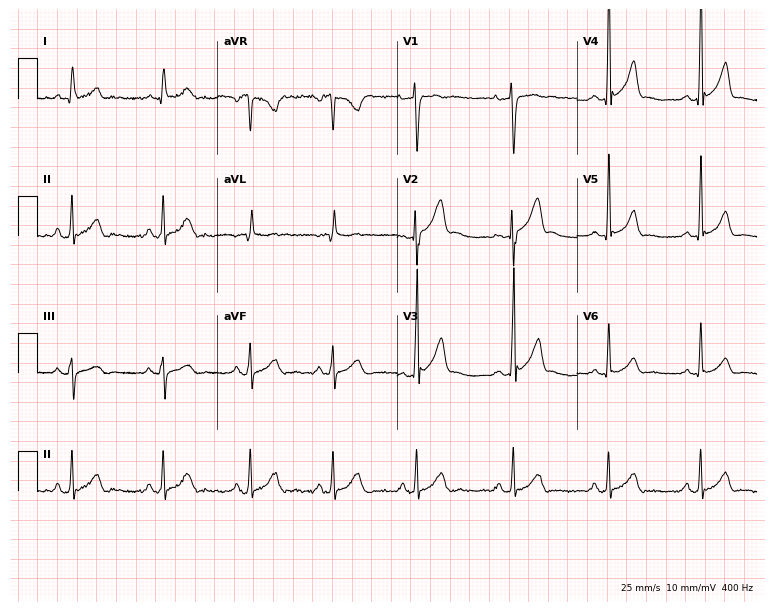
Electrocardiogram (7.3-second recording at 400 Hz), a man, 28 years old. Of the six screened findings (first-degree AV block, right bundle branch block (RBBB), left bundle branch block (LBBB), sinus bradycardia, atrial fibrillation (AF), sinus tachycardia), none is recorded. Findings outside these six are not listed.